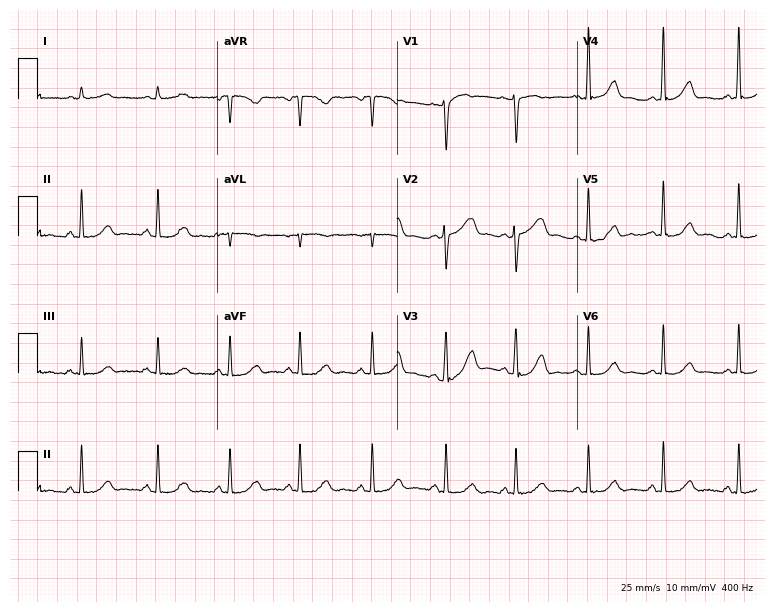
Electrocardiogram, a female, 43 years old. Overall reading on record: normal ECG.